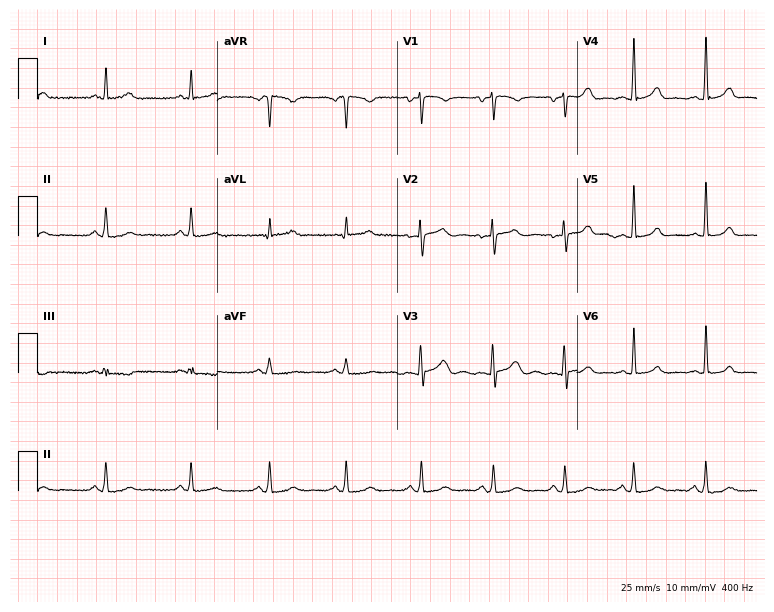
12-lead ECG from a 35-year-old female patient (7.3-second recording at 400 Hz). No first-degree AV block, right bundle branch block, left bundle branch block, sinus bradycardia, atrial fibrillation or sinus tachycardia recorded for this tracing. Other findings, if any, are not listed.